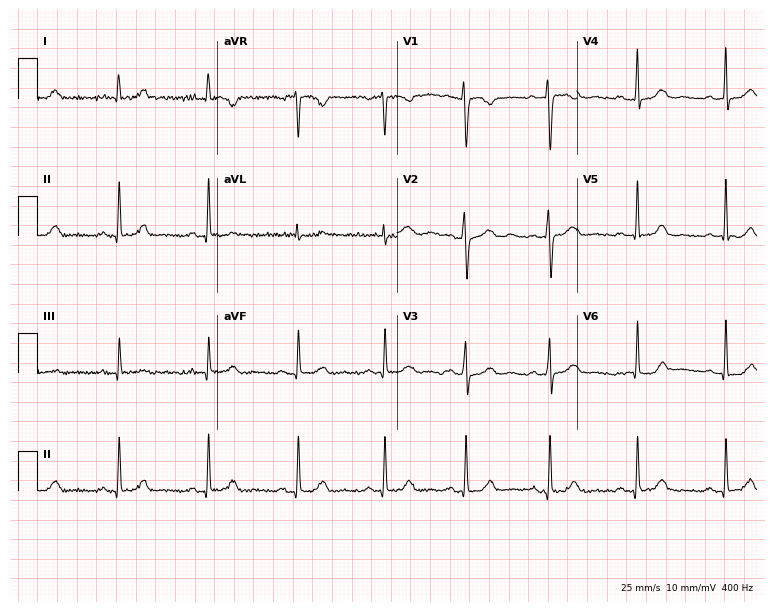
ECG (7.3-second recording at 400 Hz) — a woman, 33 years old. Screened for six findings — first-degree AV block, right bundle branch block, left bundle branch block, sinus bradycardia, atrial fibrillation, sinus tachycardia — none is recorded.